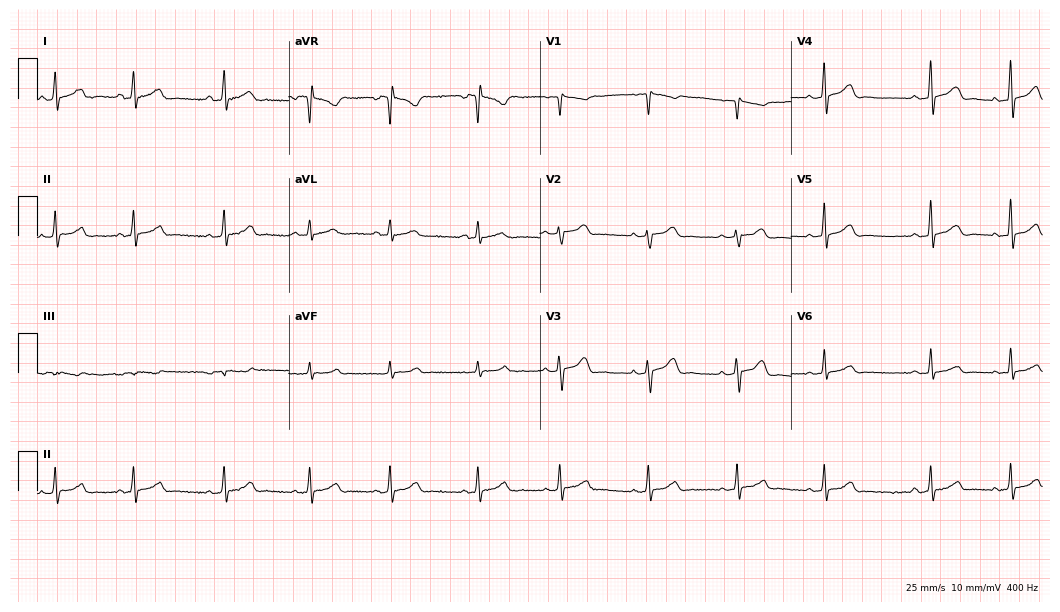
12-lead ECG from a female, 29 years old. Labelled as a normal ECG.